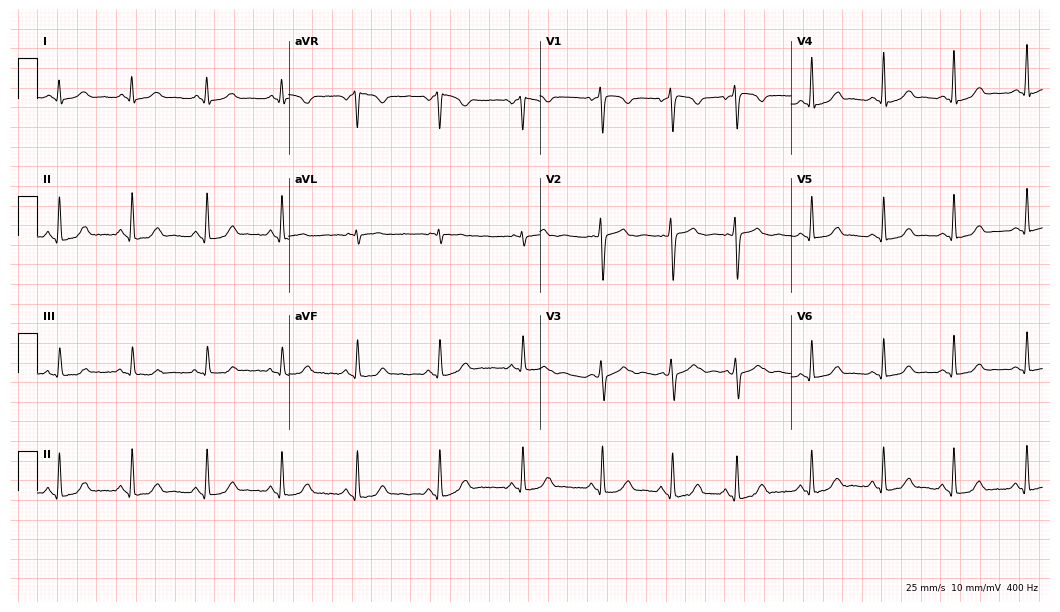
ECG (10.2-second recording at 400 Hz) — a 28-year-old female. Screened for six findings — first-degree AV block, right bundle branch block (RBBB), left bundle branch block (LBBB), sinus bradycardia, atrial fibrillation (AF), sinus tachycardia — none is recorded. Other findings, if any, are not listed.